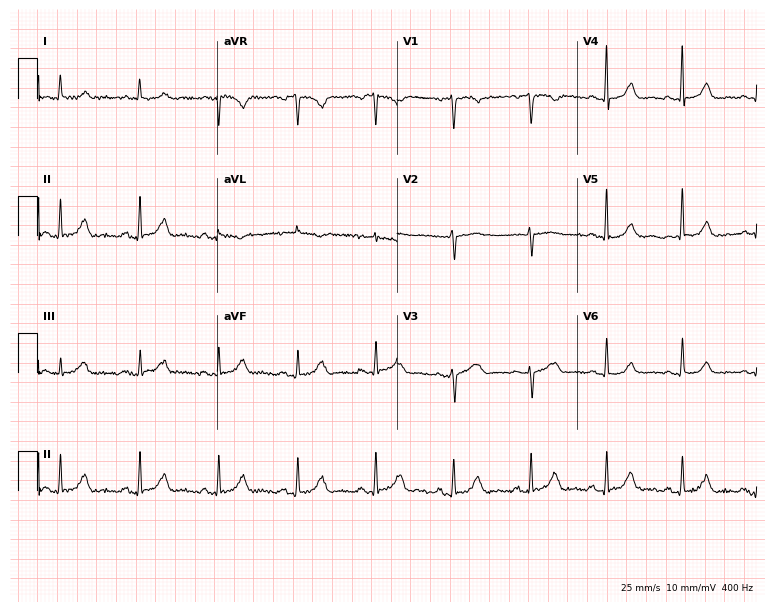
12-lead ECG from a woman, 73 years old (7.3-second recording at 400 Hz). Recorded interpretation: within normal limits.